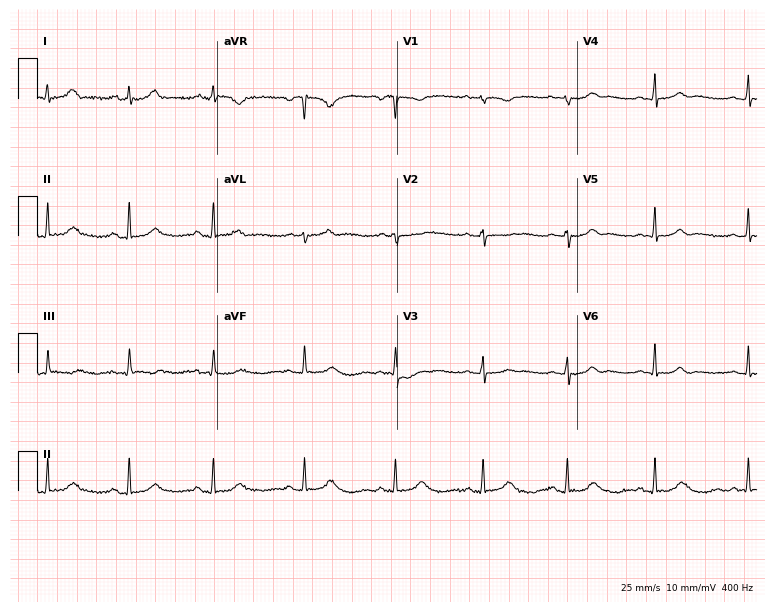
Standard 12-lead ECG recorded from a 20-year-old female patient. Read as a normal ECG.